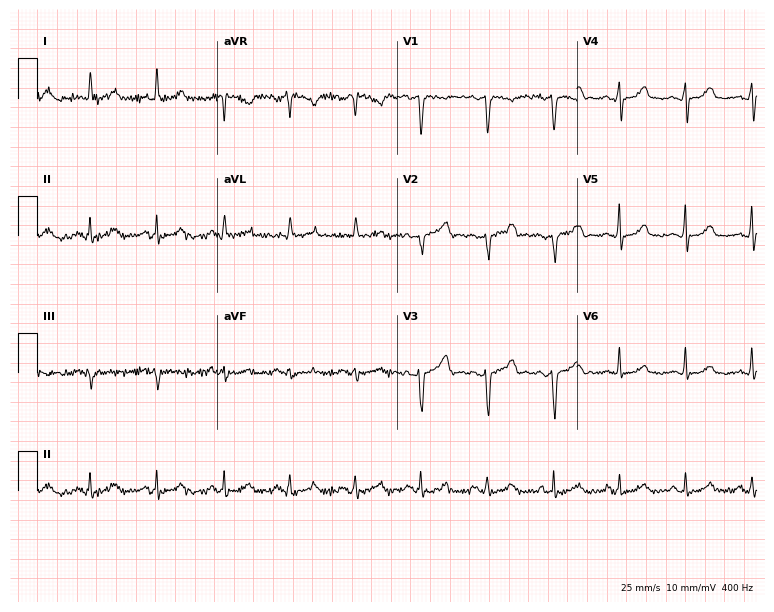
12-lead ECG from a woman, 33 years old (7.3-second recording at 400 Hz). Recorded interpretation: within normal limits.